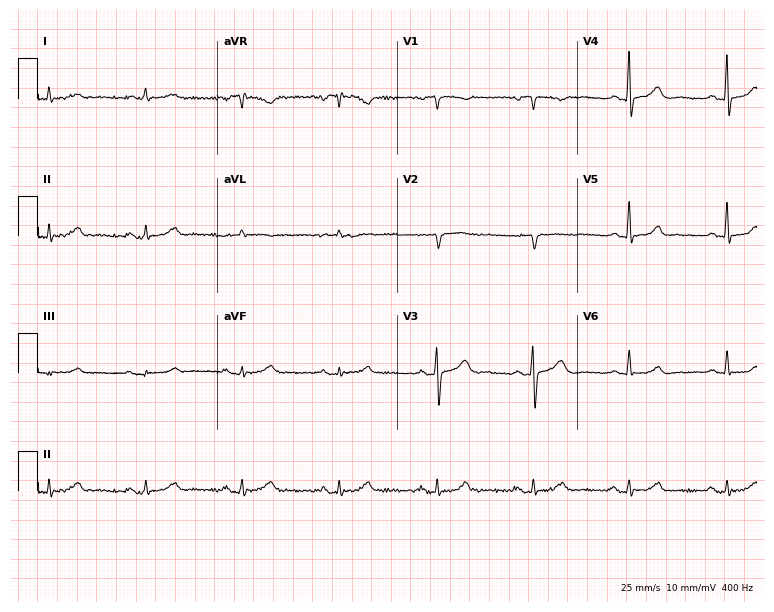
Resting 12-lead electrocardiogram (7.3-second recording at 400 Hz). Patient: a man, 72 years old. None of these six findings is recorded: first-degree AV block, right bundle branch block, left bundle branch block, sinus bradycardia, atrial fibrillation, sinus tachycardia.